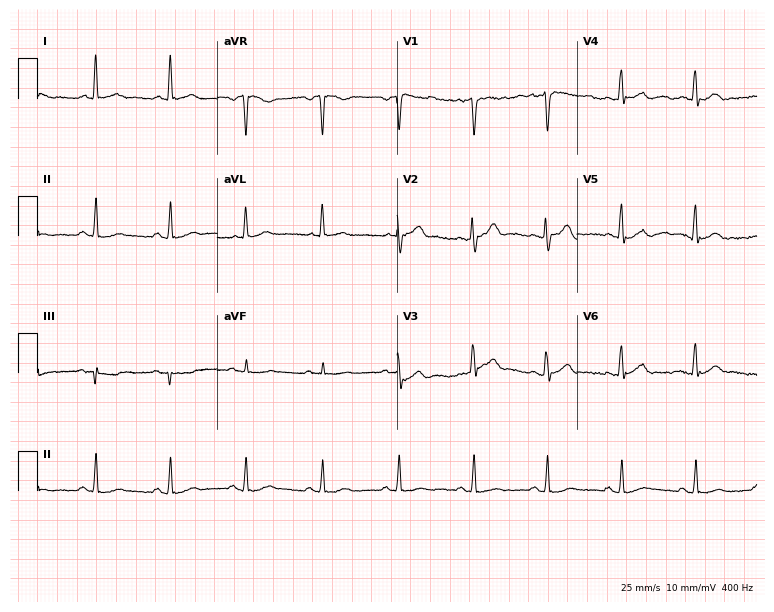
Standard 12-lead ECG recorded from a male patient, 48 years old. None of these six findings is recorded: first-degree AV block, right bundle branch block, left bundle branch block, sinus bradycardia, atrial fibrillation, sinus tachycardia. Findings outside these six are not listed.